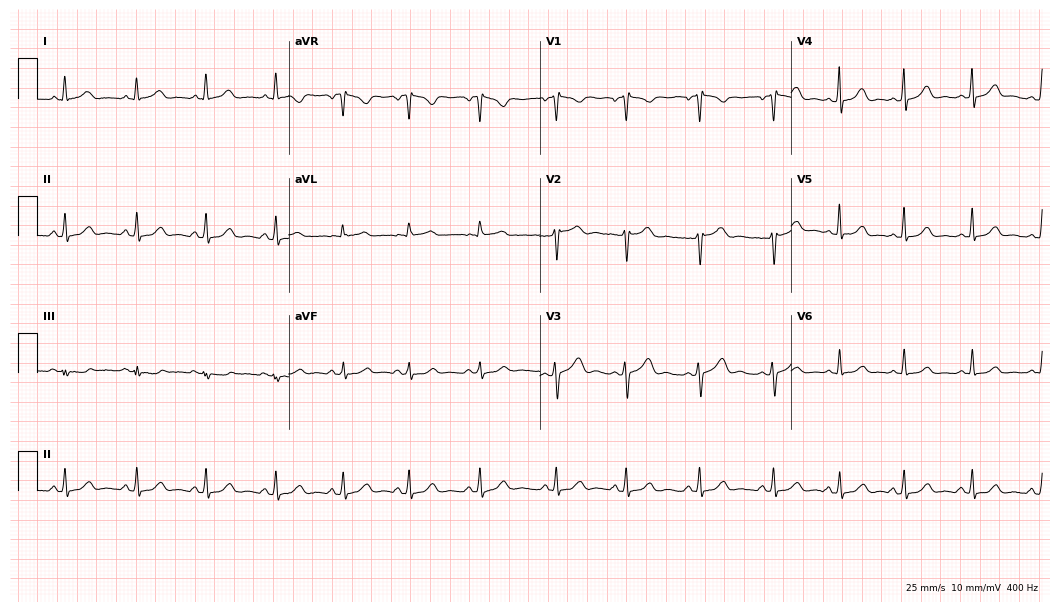
Resting 12-lead electrocardiogram (10.2-second recording at 400 Hz). Patient: a 32-year-old female. None of these six findings is recorded: first-degree AV block, right bundle branch block, left bundle branch block, sinus bradycardia, atrial fibrillation, sinus tachycardia.